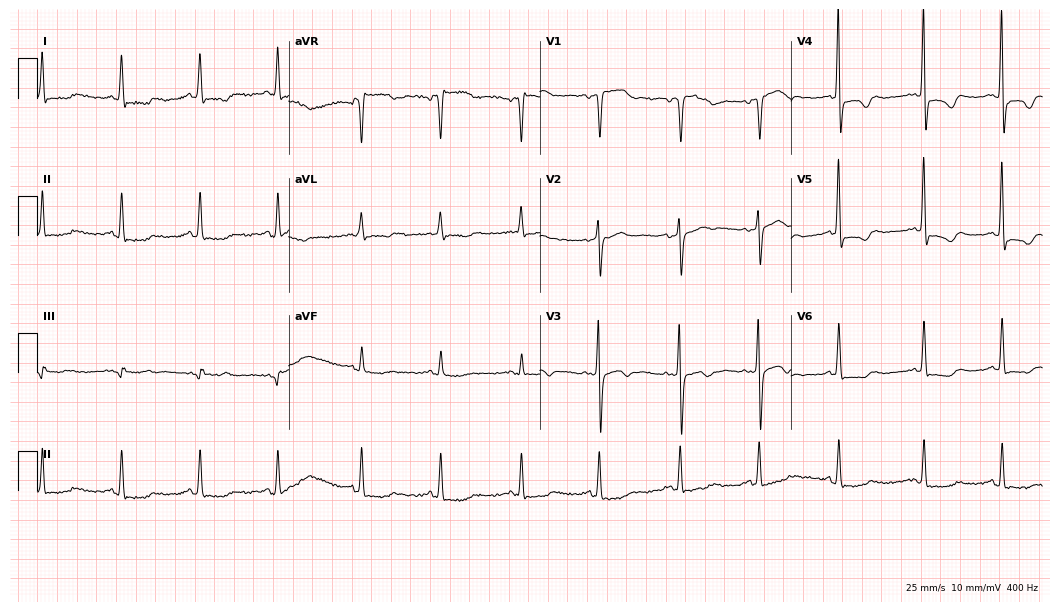
12-lead ECG from a female, 72 years old. No first-degree AV block, right bundle branch block, left bundle branch block, sinus bradycardia, atrial fibrillation or sinus tachycardia recorded for this tracing.